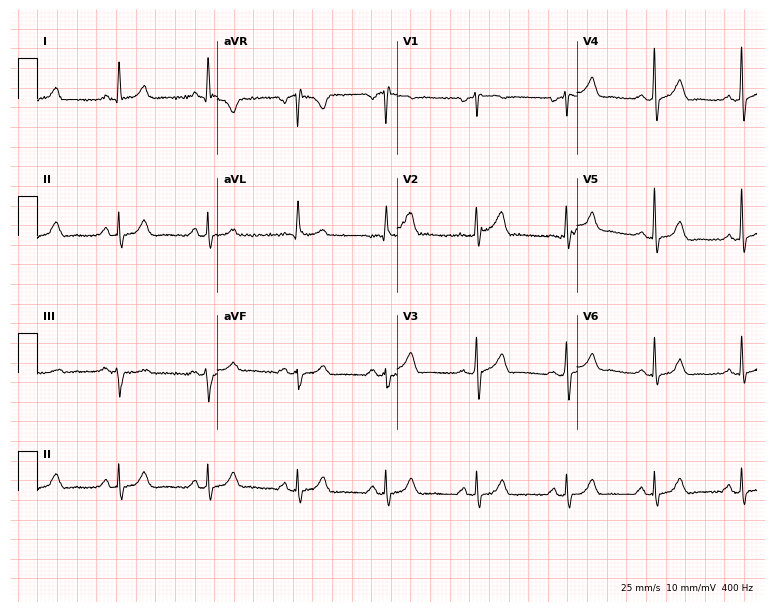
12-lead ECG from a 56-year-old male patient. Screened for six findings — first-degree AV block, right bundle branch block, left bundle branch block, sinus bradycardia, atrial fibrillation, sinus tachycardia — none is recorded. Other findings, if any, are not listed.